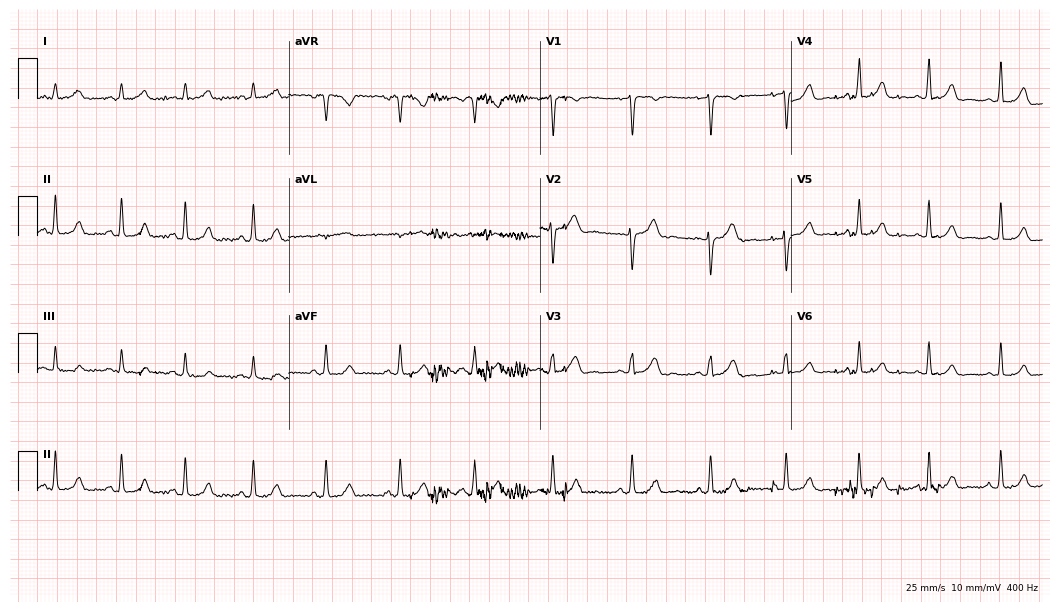
Standard 12-lead ECG recorded from a 24-year-old female patient. Read as a normal ECG.